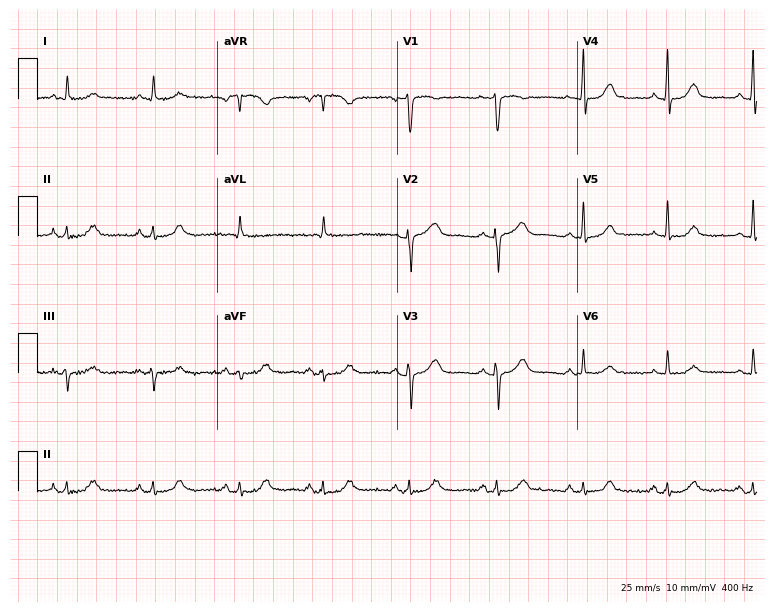
12-lead ECG from a 60-year-old female. Screened for six findings — first-degree AV block, right bundle branch block, left bundle branch block, sinus bradycardia, atrial fibrillation, sinus tachycardia — none is recorded. Only these six findings were labelled.